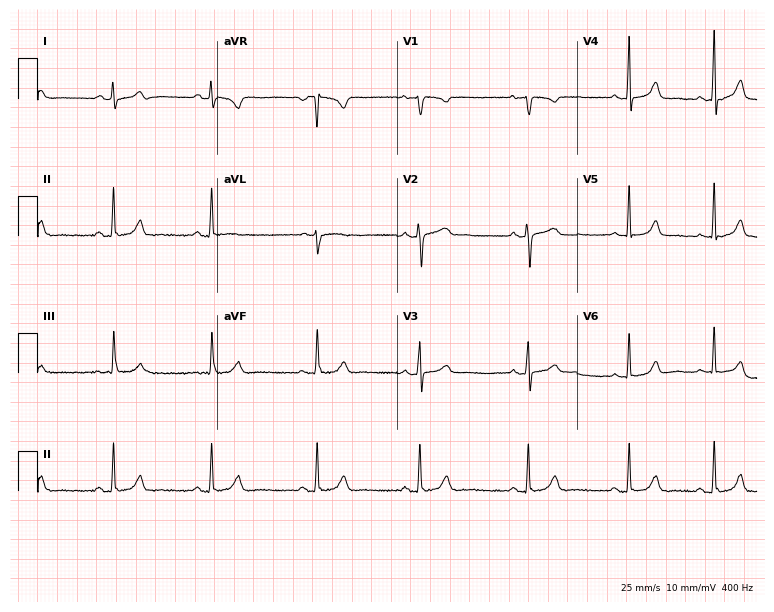
12-lead ECG from a woman, 25 years old. Labelled as a normal ECG.